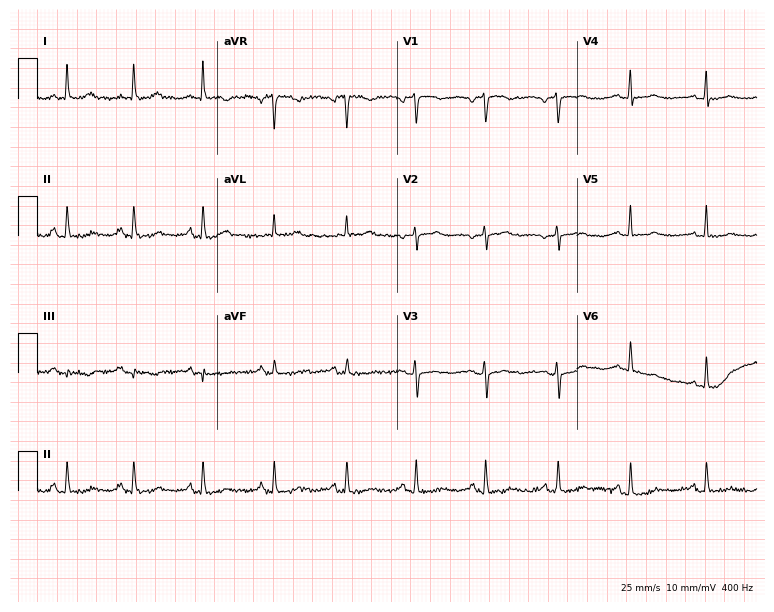
12-lead ECG (7.3-second recording at 400 Hz) from a 56-year-old female patient. Labelled as a normal ECG.